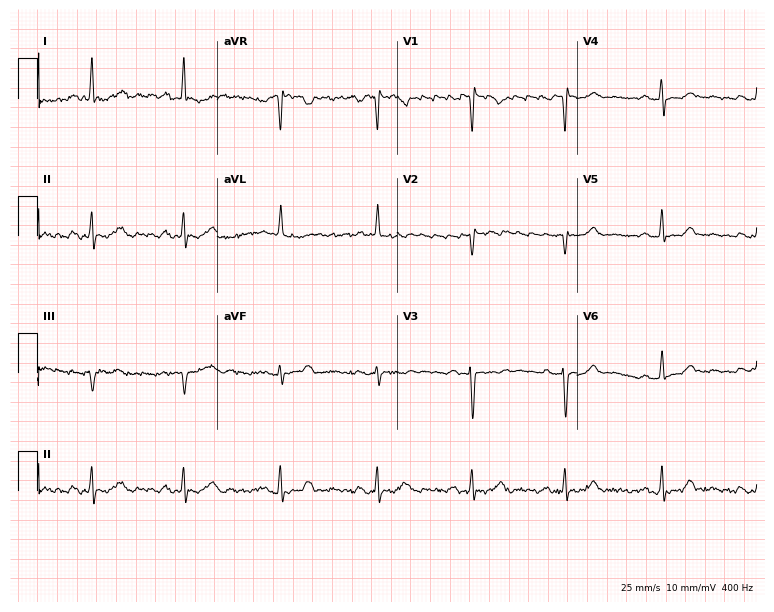
Standard 12-lead ECG recorded from a female, 70 years old. None of these six findings is recorded: first-degree AV block, right bundle branch block, left bundle branch block, sinus bradycardia, atrial fibrillation, sinus tachycardia. Only these six findings were labelled.